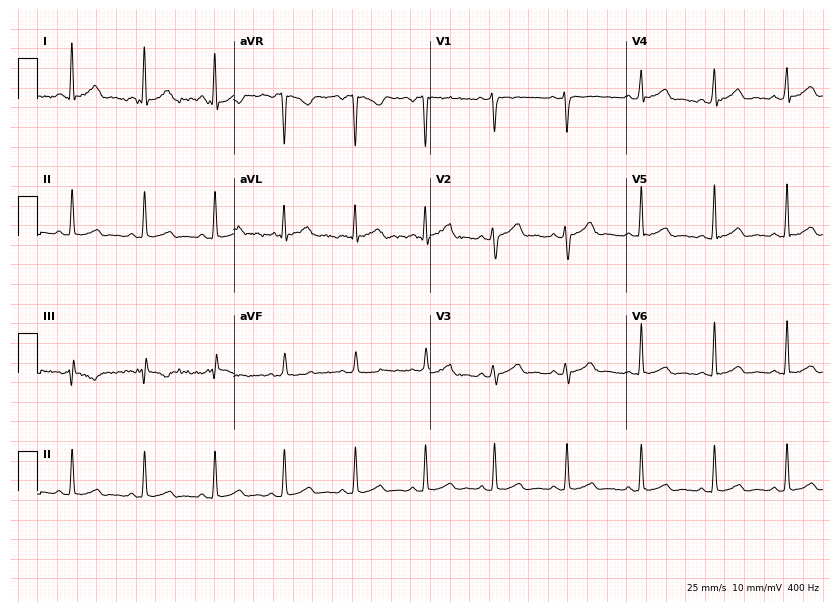
12-lead ECG (8-second recording at 400 Hz) from a 23-year-old female patient. Screened for six findings — first-degree AV block, right bundle branch block, left bundle branch block, sinus bradycardia, atrial fibrillation, sinus tachycardia — none is recorded. Other findings, if any, are not listed.